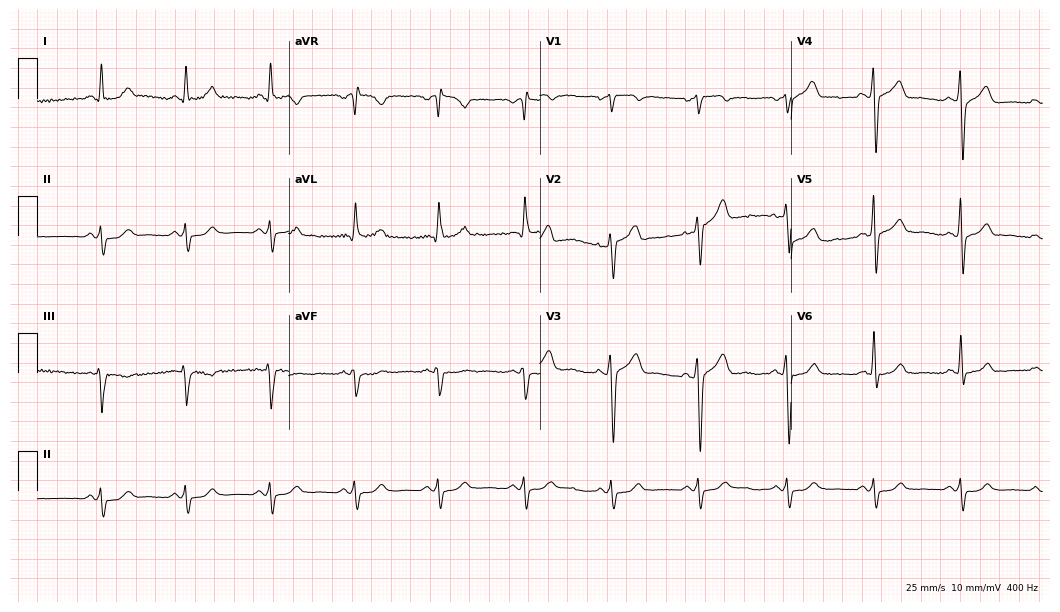
Resting 12-lead electrocardiogram (10.2-second recording at 400 Hz). Patient: a 60-year-old male. None of these six findings is recorded: first-degree AV block, right bundle branch block, left bundle branch block, sinus bradycardia, atrial fibrillation, sinus tachycardia.